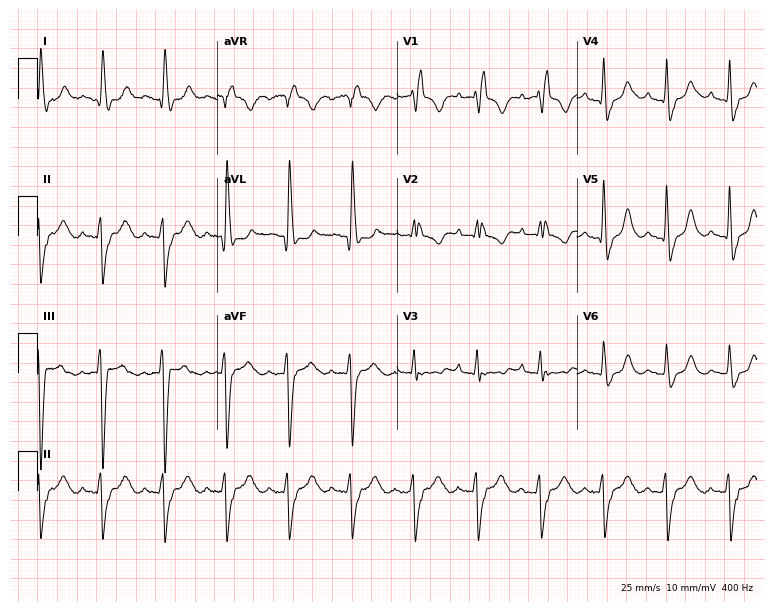
Standard 12-lead ECG recorded from a woman, 79 years old. The tracing shows right bundle branch block.